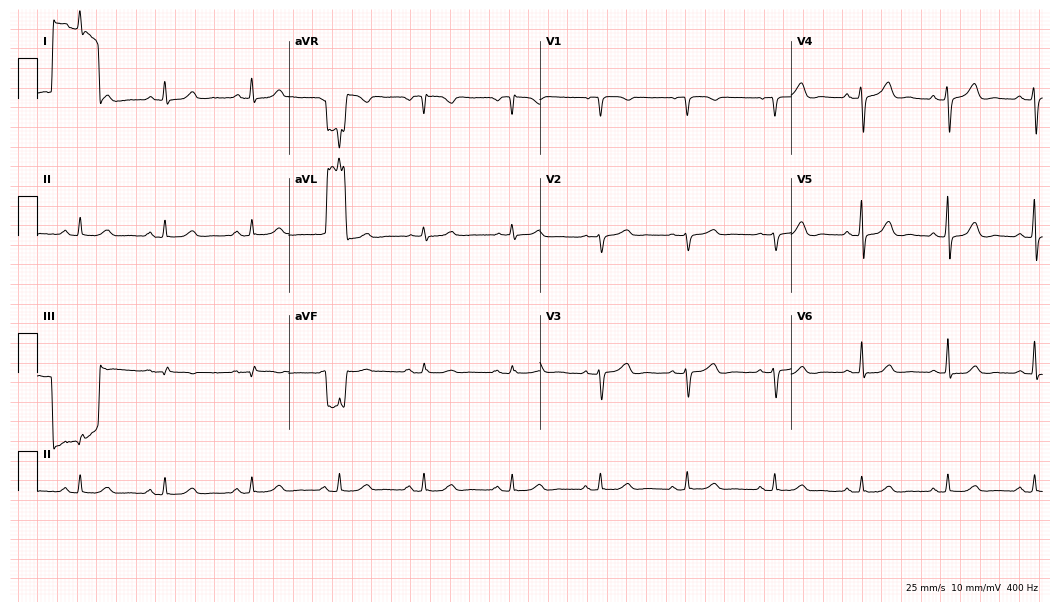
Standard 12-lead ECG recorded from a 63-year-old woman. None of these six findings is recorded: first-degree AV block, right bundle branch block, left bundle branch block, sinus bradycardia, atrial fibrillation, sinus tachycardia.